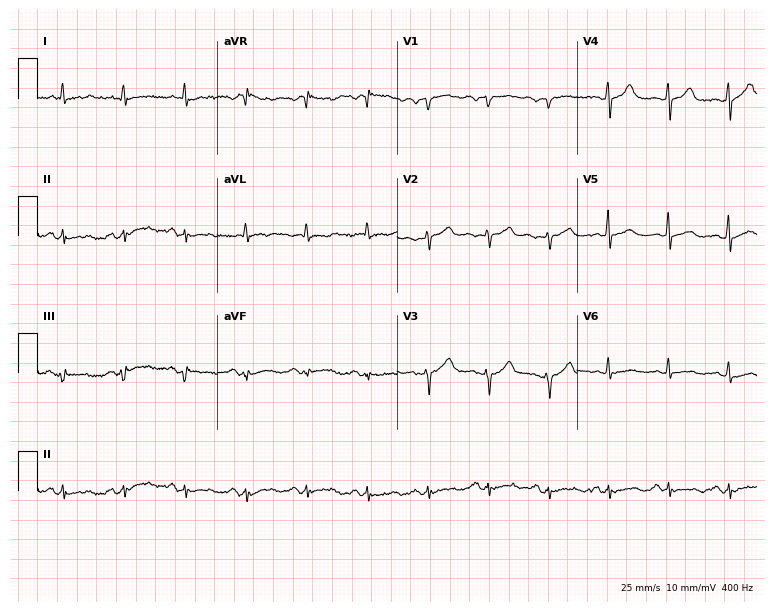
Electrocardiogram, a male patient, 58 years old. Overall reading on record: normal ECG.